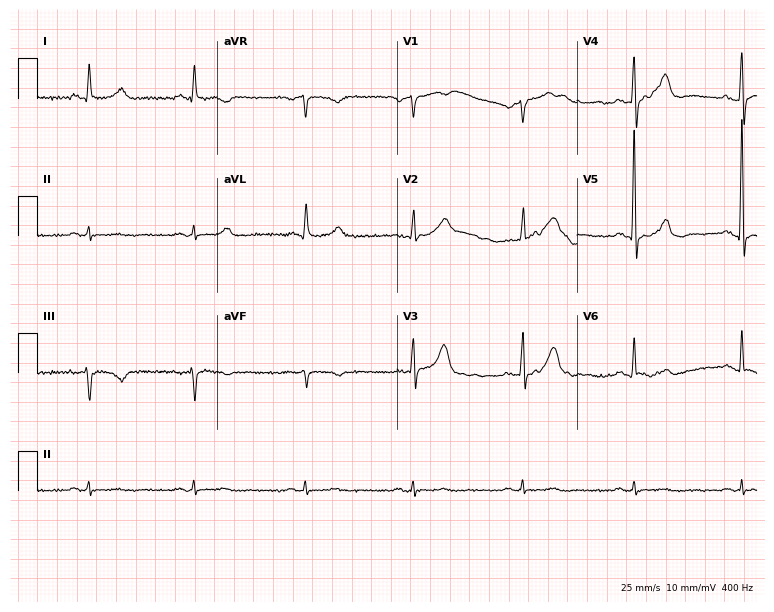
12-lead ECG from a male patient, 71 years old. No first-degree AV block, right bundle branch block (RBBB), left bundle branch block (LBBB), sinus bradycardia, atrial fibrillation (AF) or sinus tachycardia recorded for this tracing.